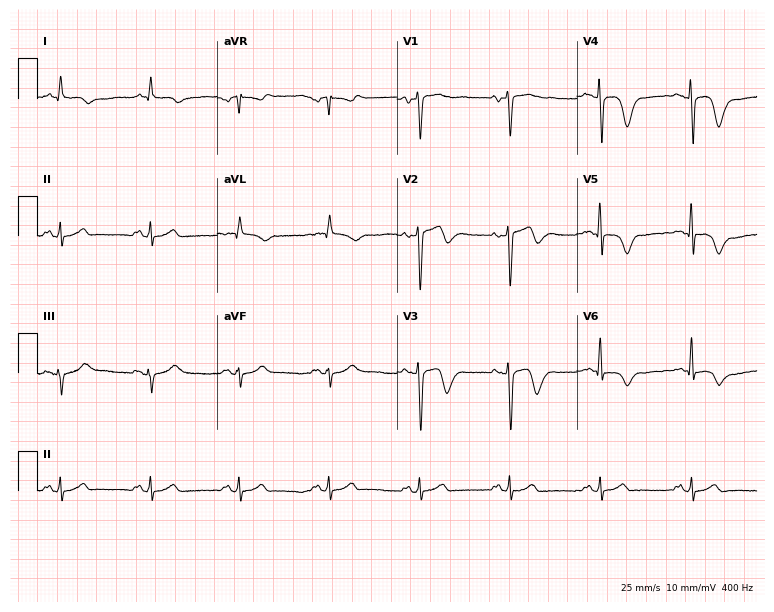
Standard 12-lead ECG recorded from a 61-year-old man. None of these six findings is recorded: first-degree AV block, right bundle branch block, left bundle branch block, sinus bradycardia, atrial fibrillation, sinus tachycardia.